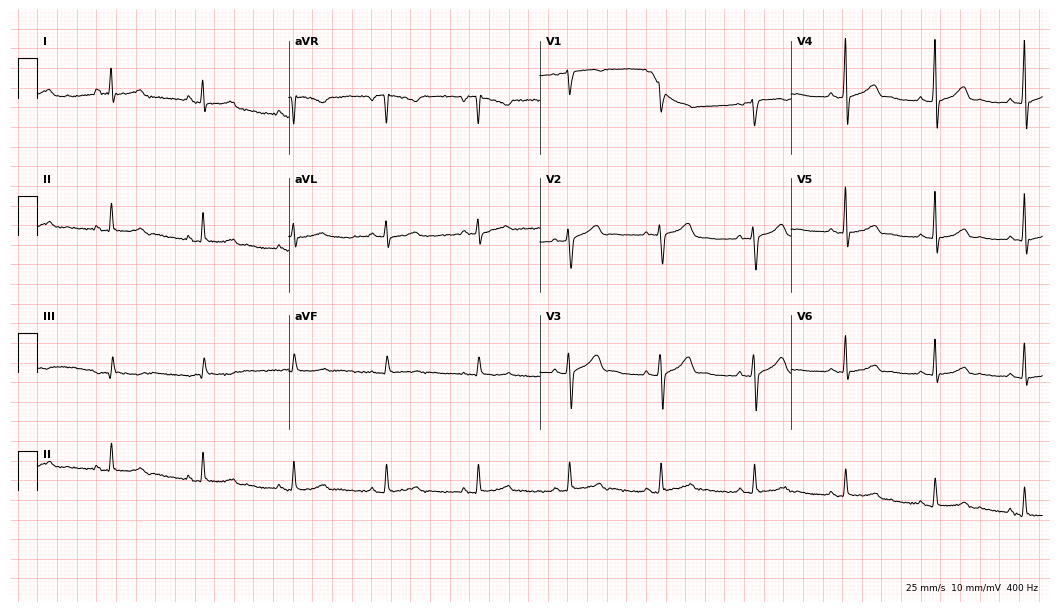
Resting 12-lead electrocardiogram (10.2-second recording at 400 Hz). Patient: a 35-year-old female. Read as a normal ECG.